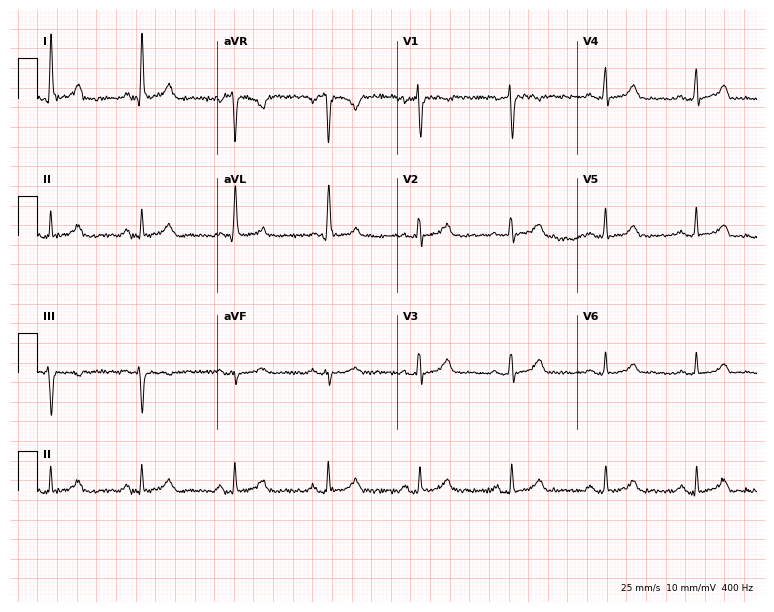
Resting 12-lead electrocardiogram (7.3-second recording at 400 Hz). Patient: a female, 71 years old. Read as a normal ECG.